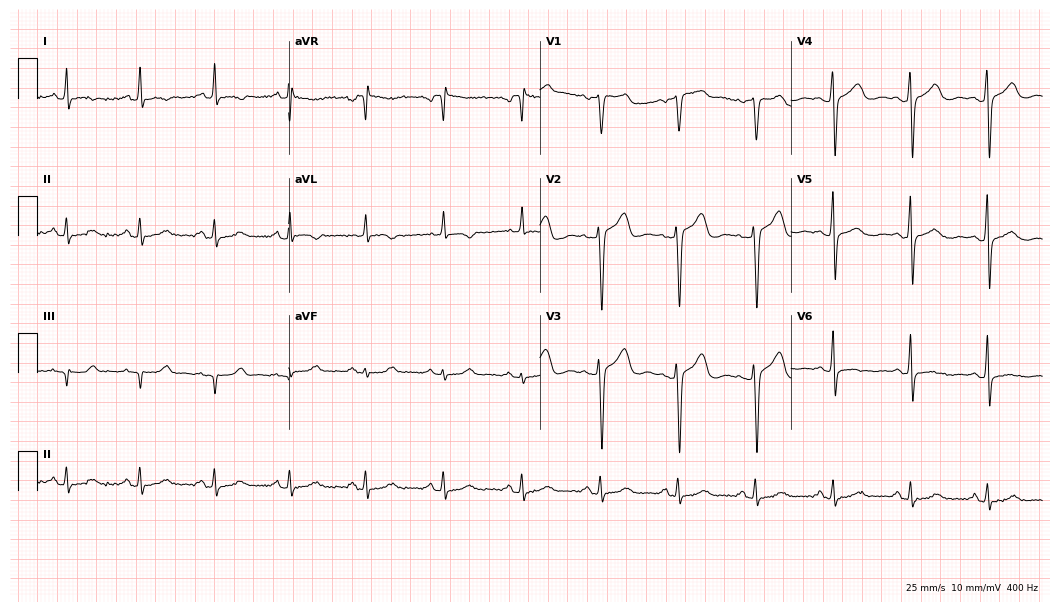
Electrocardiogram (10.2-second recording at 400 Hz), a 51-year-old woman. Of the six screened findings (first-degree AV block, right bundle branch block, left bundle branch block, sinus bradycardia, atrial fibrillation, sinus tachycardia), none is recorded.